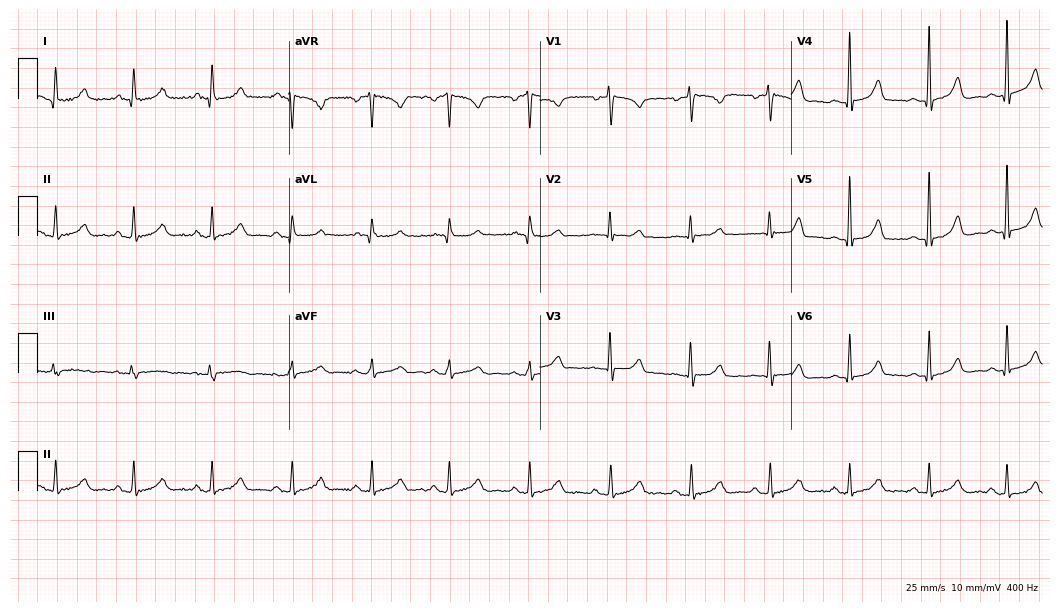
12-lead ECG from a female, 44 years old. Labelled as a normal ECG.